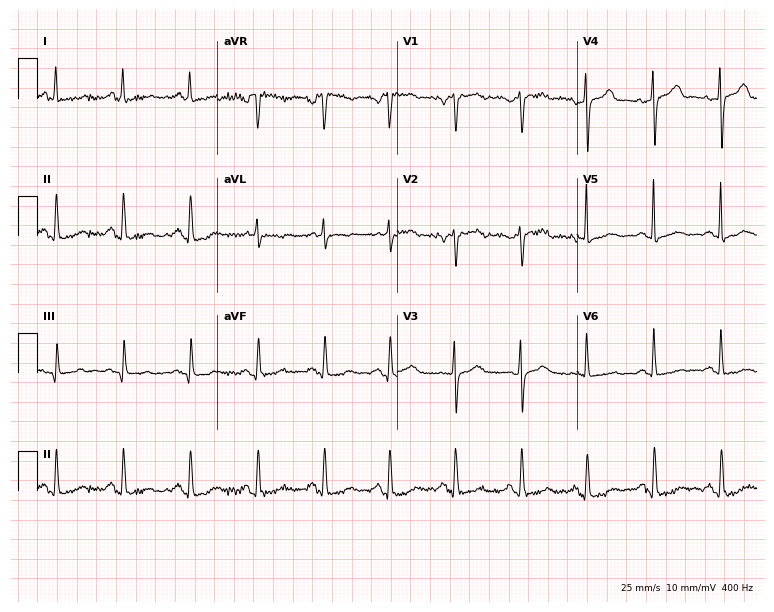
Standard 12-lead ECG recorded from a 57-year-old female patient (7.3-second recording at 400 Hz). None of these six findings is recorded: first-degree AV block, right bundle branch block, left bundle branch block, sinus bradycardia, atrial fibrillation, sinus tachycardia.